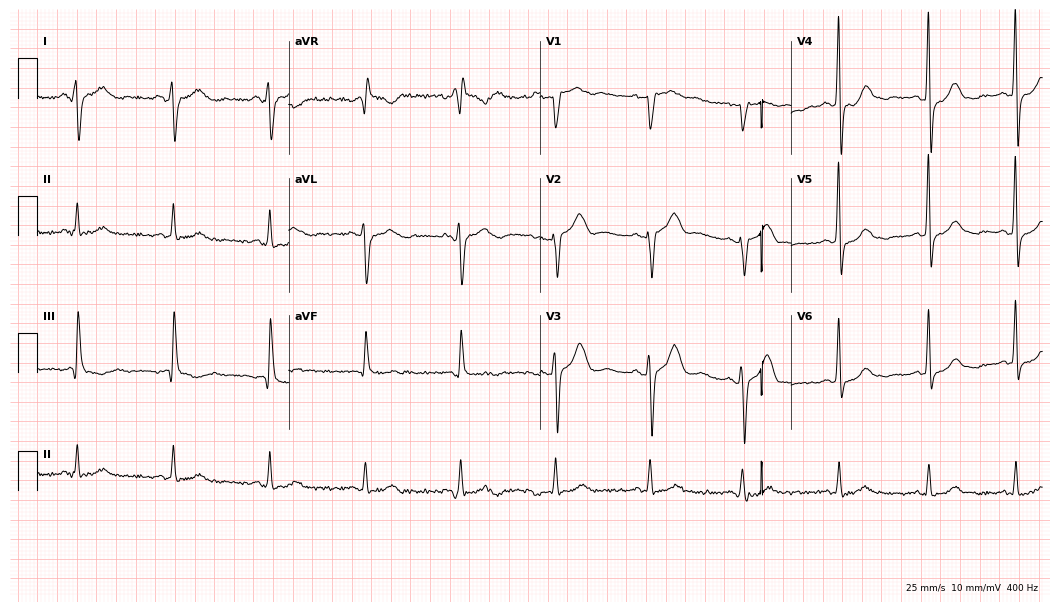
Standard 12-lead ECG recorded from a 62-year-old female. None of these six findings is recorded: first-degree AV block, right bundle branch block (RBBB), left bundle branch block (LBBB), sinus bradycardia, atrial fibrillation (AF), sinus tachycardia.